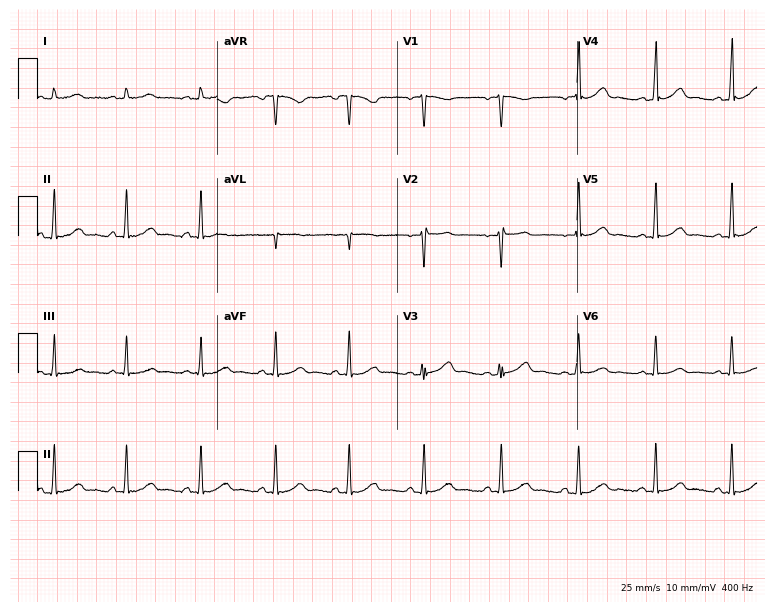
Electrocardiogram (7.3-second recording at 400 Hz), a 36-year-old female patient. Overall reading on record: normal ECG.